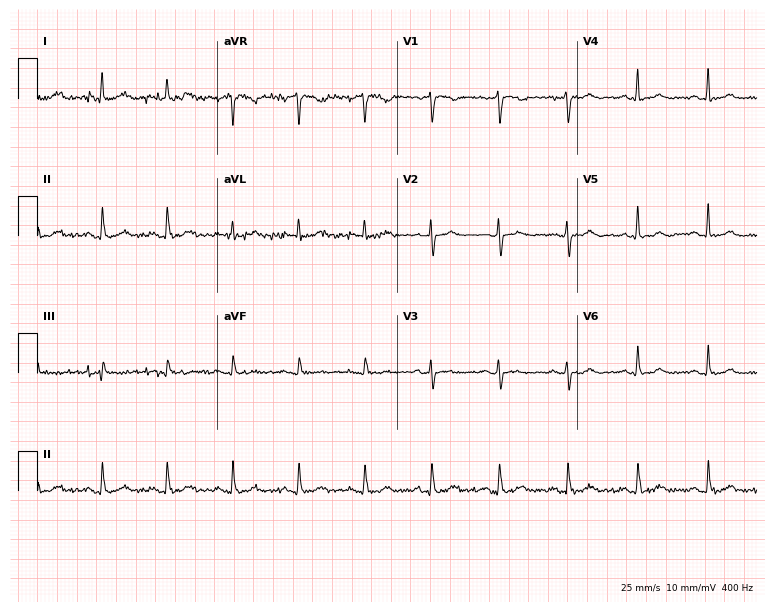
Standard 12-lead ECG recorded from a 41-year-old female (7.3-second recording at 400 Hz). Read as a normal ECG.